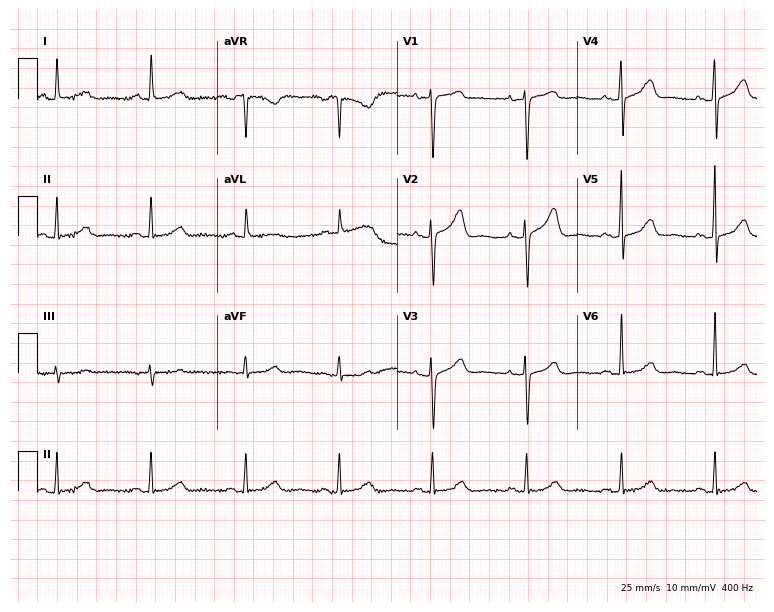
12-lead ECG (7.3-second recording at 400 Hz) from a 63-year-old woman. Screened for six findings — first-degree AV block, right bundle branch block, left bundle branch block, sinus bradycardia, atrial fibrillation, sinus tachycardia — none is recorded.